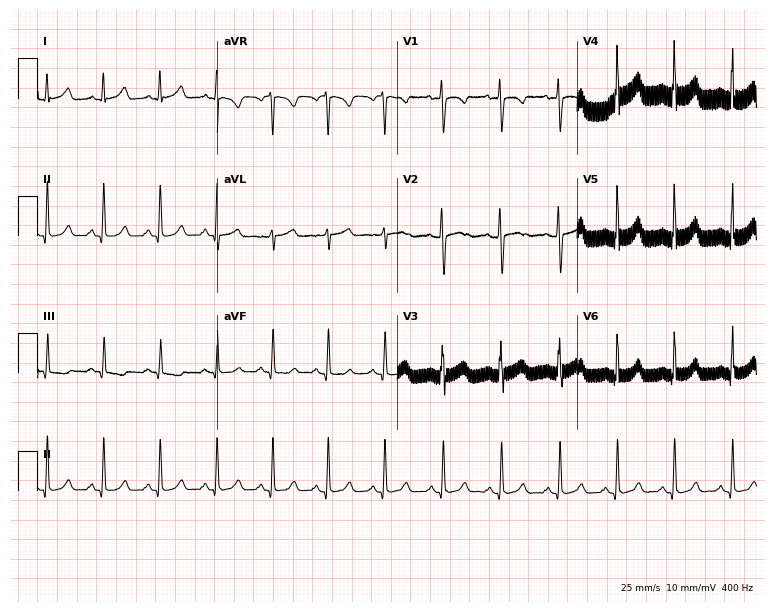
ECG (7.3-second recording at 400 Hz) — a 30-year-old female. Screened for six findings — first-degree AV block, right bundle branch block, left bundle branch block, sinus bradycardia, atrial fibrillation, sinus tachycardia — none is recorded. Findings outside these six are not listed.